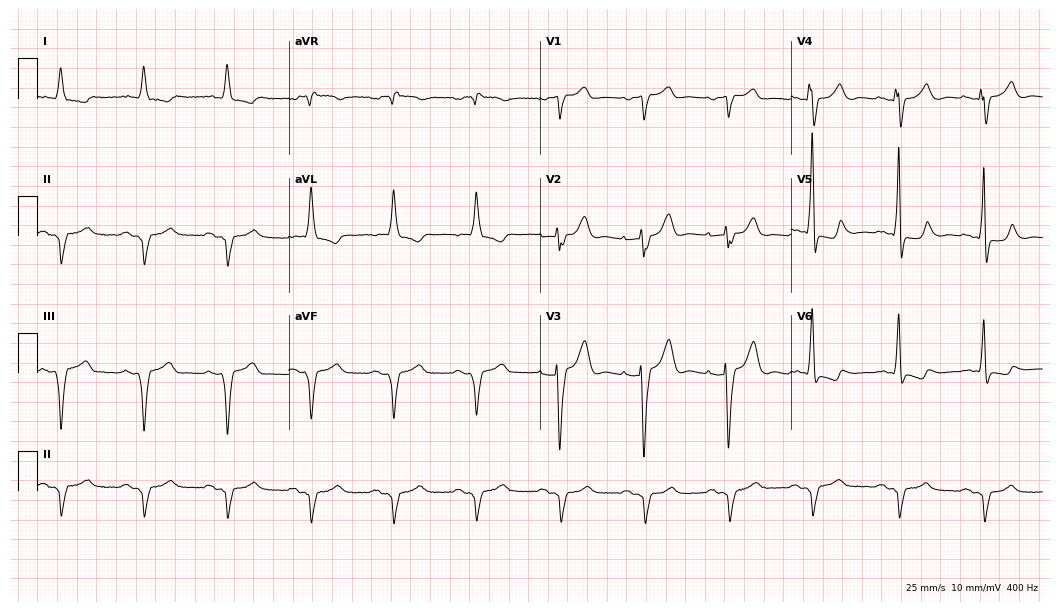
Standard 12-lead ECG recorded from an 82-year-old male patient. The tracing shows left bundle branch block.